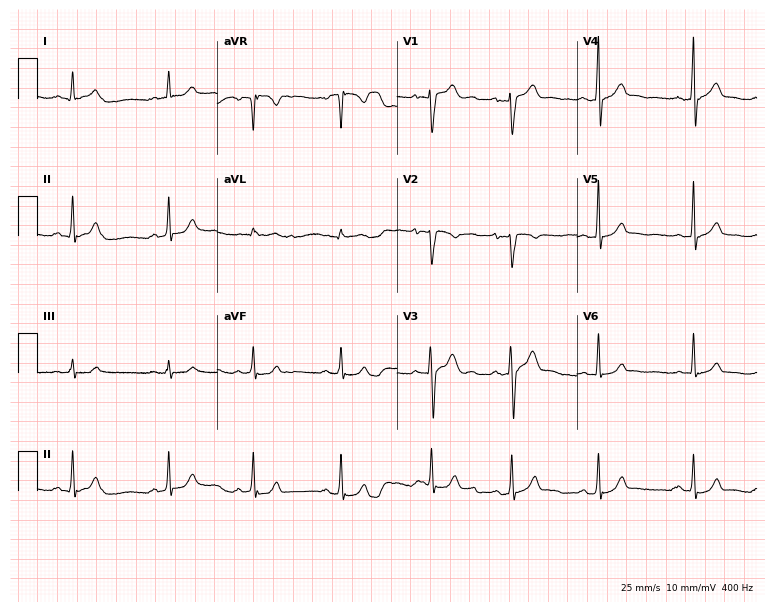
Standard 12-lead ECG recorded from a 19-year-old male. Read as a normal ECG.